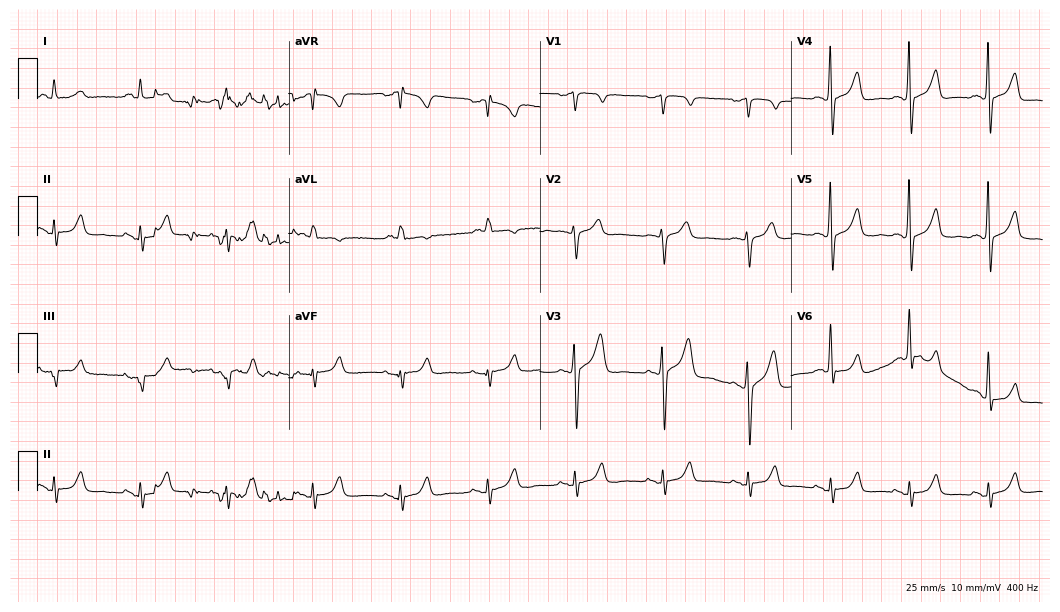
ECG — a man, 56 years old. Screened for six findings — first-degree AV block, right bundle branch block, left bundle branch block, sinus bradycardia, atrial fibrillation, sinus tachycardia — none is recorded. Only these six findings were labelled.